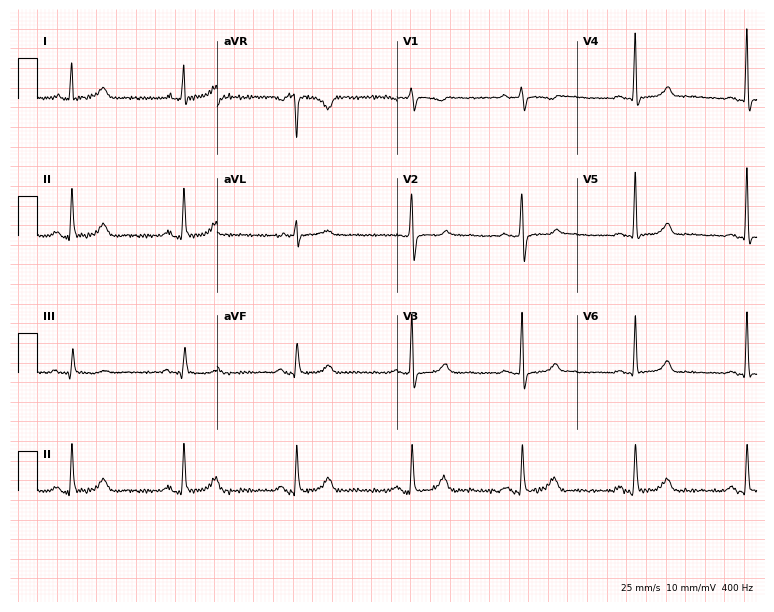
Electrocardiogram, a 59-year-old woman. Overall reading on record: normal ECG.